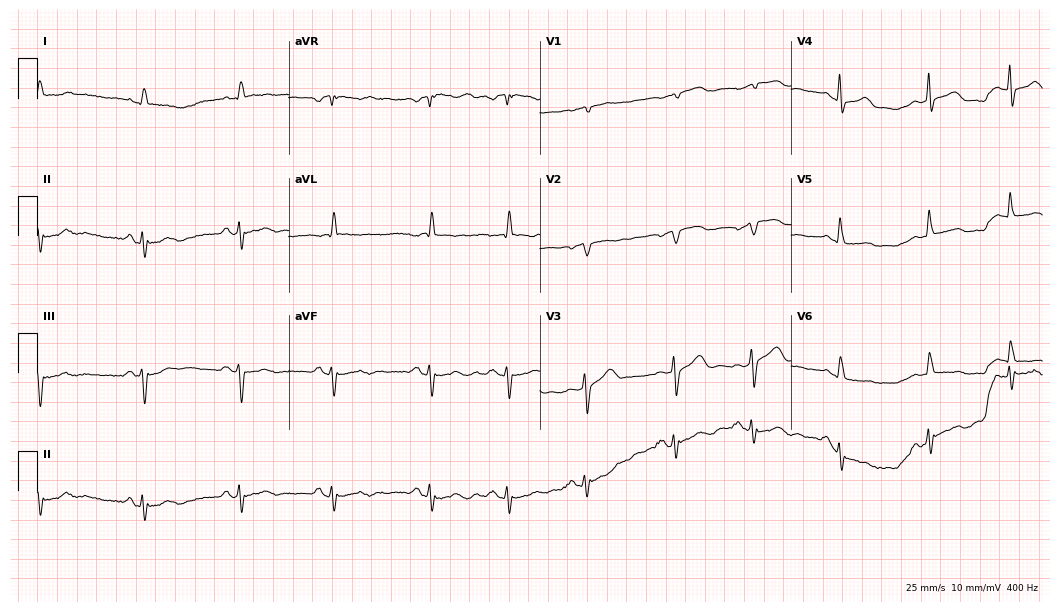
12-lead ECG from a man, 81 years old. No first-degree AV block, right bundle branch block, left bundle branch block, sinus bradycardia, atrial fibrillation or sinus tachycardia recorded for this tracing. Findings outside these six are not listed.